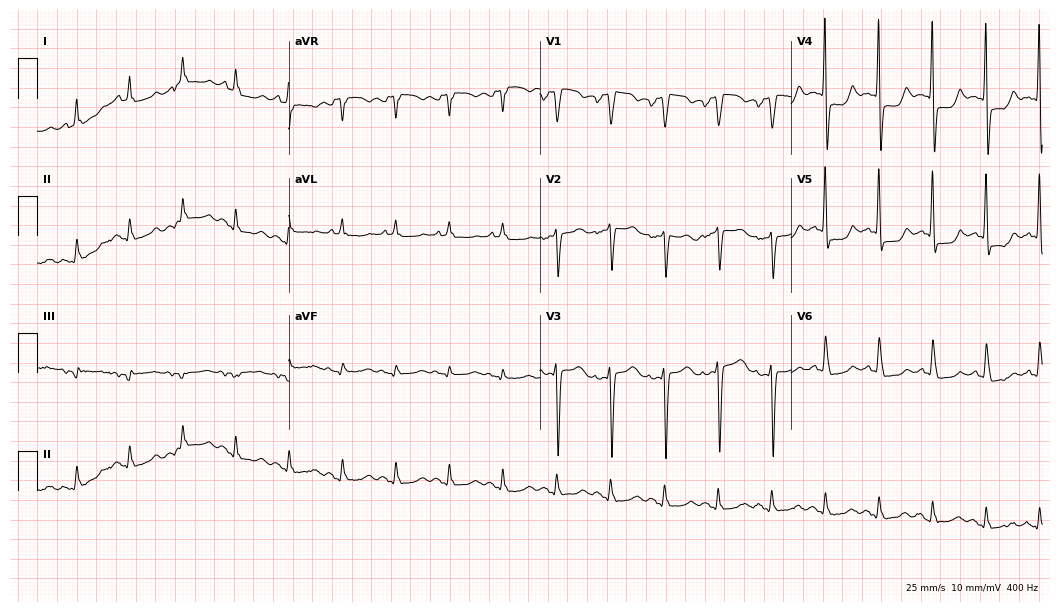
12-lead ECG (10.2-second recording at 400 Hz) from a man, 69 years old. Screened for six findings — first-degree AV block, right bundle branch block, left bundle branch block, sinus bradycardia, atrial fibrillation, sinus tachycardia — none is recorded. Only these six findings were labelled.